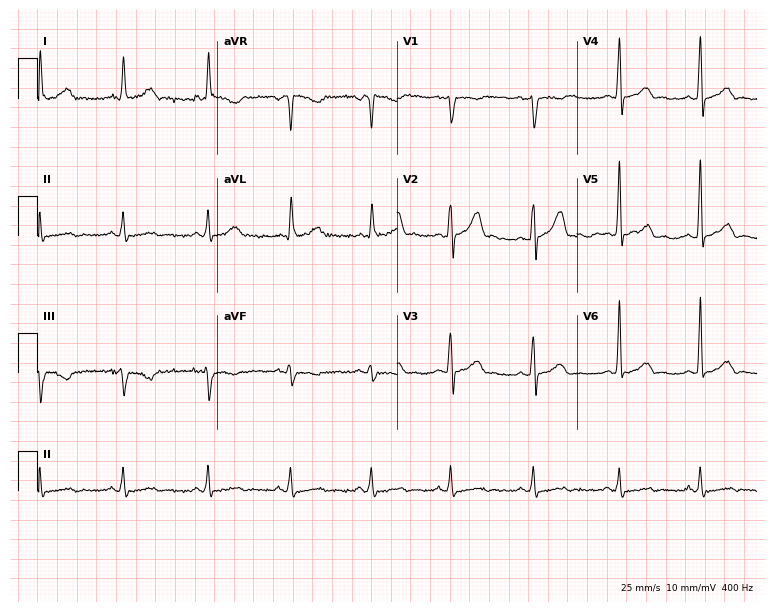
Electrocardiogram, a male, 46 years old. Of the six screened findings (first-degree AV block, right bundle branch block, left bundle branch block, sinus bradycardia, atrial fibrillation, sinus tachycardia), none is recorded. Findings outside these six are not listed.